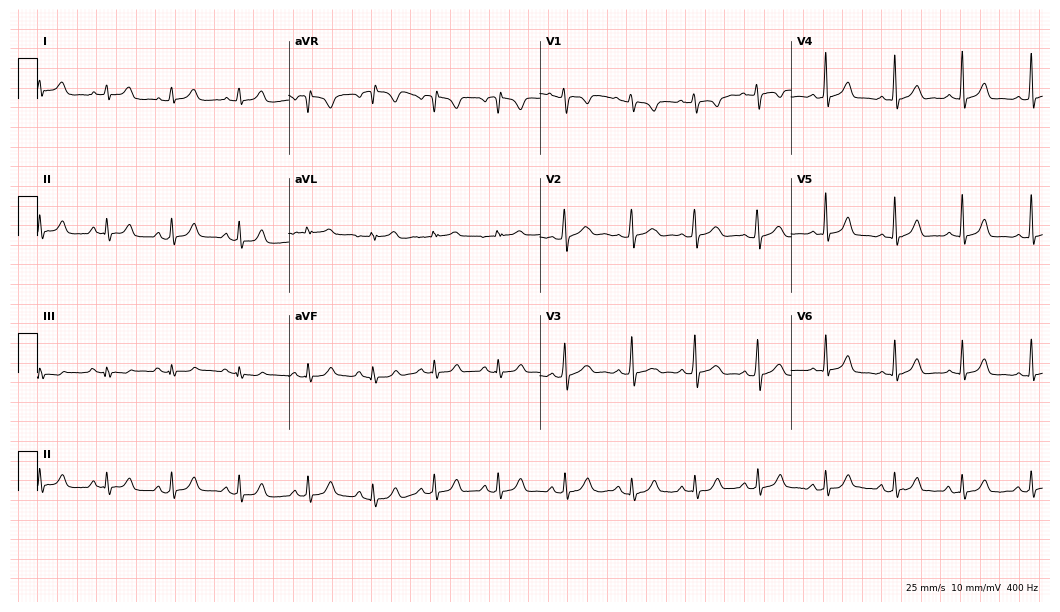
12-lead ECG (10.2-second recording at 400 Hz) from a 19-year-old woman. Screened for six findings — first-degree AV block, right bundle branch block, left bundle branch block, sinus bradycardia, atrial fibrillation, sinus tachycardia — none is recorded.